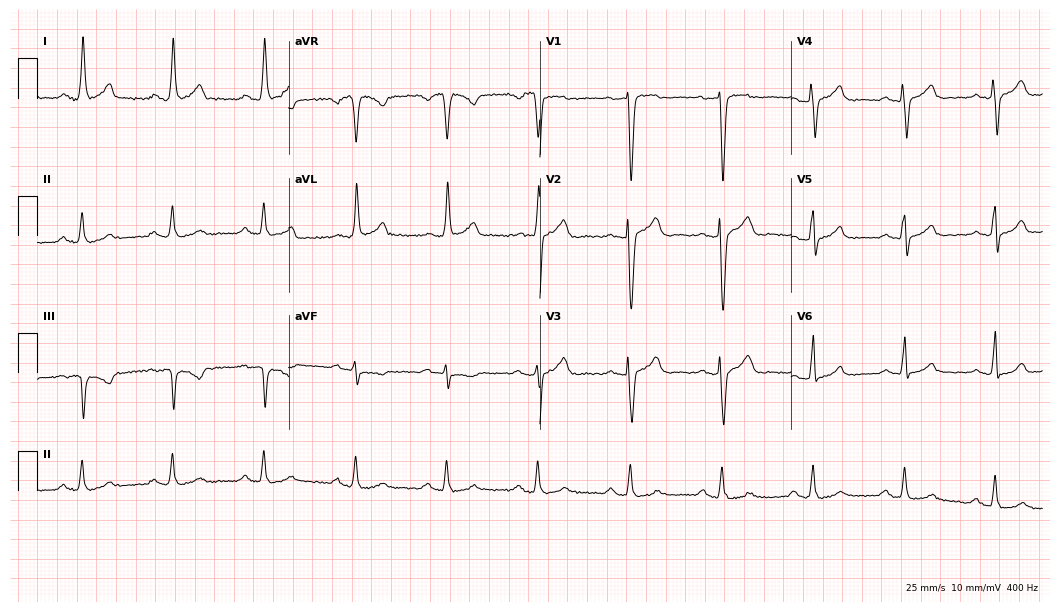
Electrocardiogram, a female, 57 years old. Of the six screened findings (first-degree AV block, right bundle branch block, left bundle branch block, sinus bradycardia, atrial fibrillation, sinus tachycardia), none is recorded.